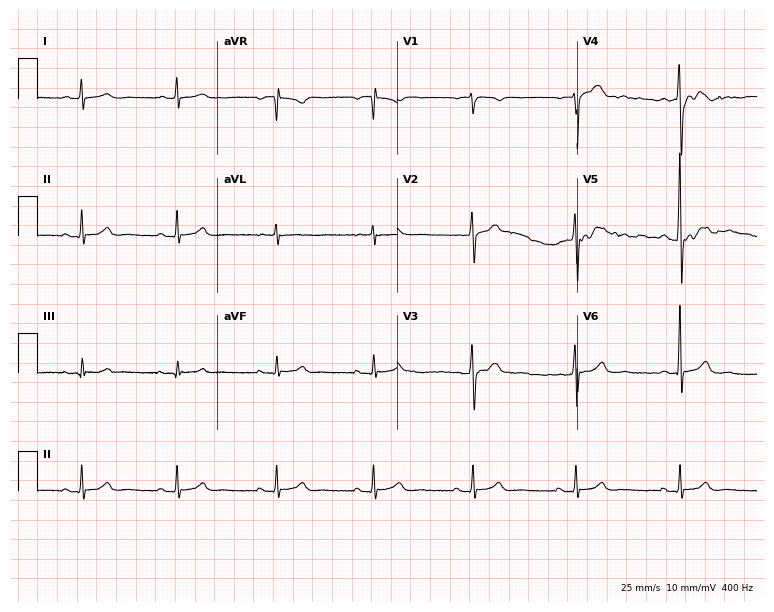
12-lead ECG from a 35-year-old man. Recorded interpretation: within normal limits.